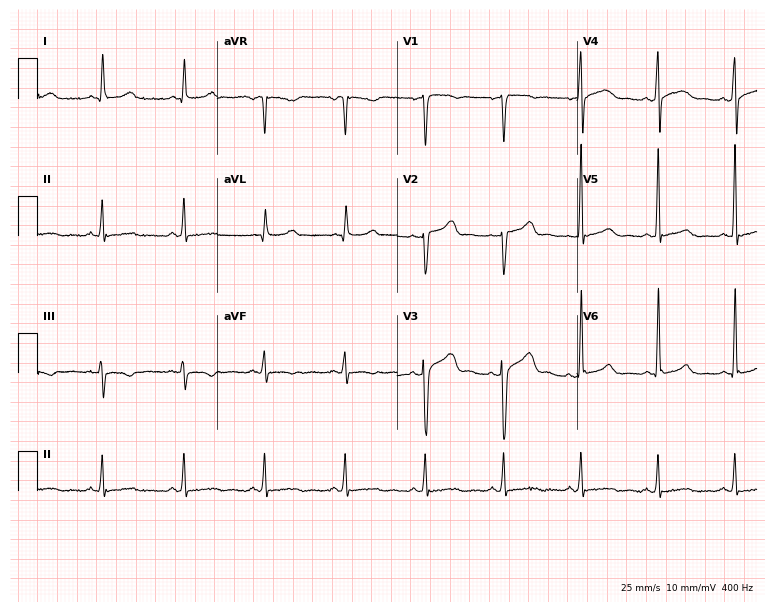
Electrocardiogram, a male, 46 years old. Of the six screened findings (first-degree AV block, right bundle branch block, left bundle branch block, sinus bradycardia, atrial fibrillation, sinus tachycardia), none is recorded.